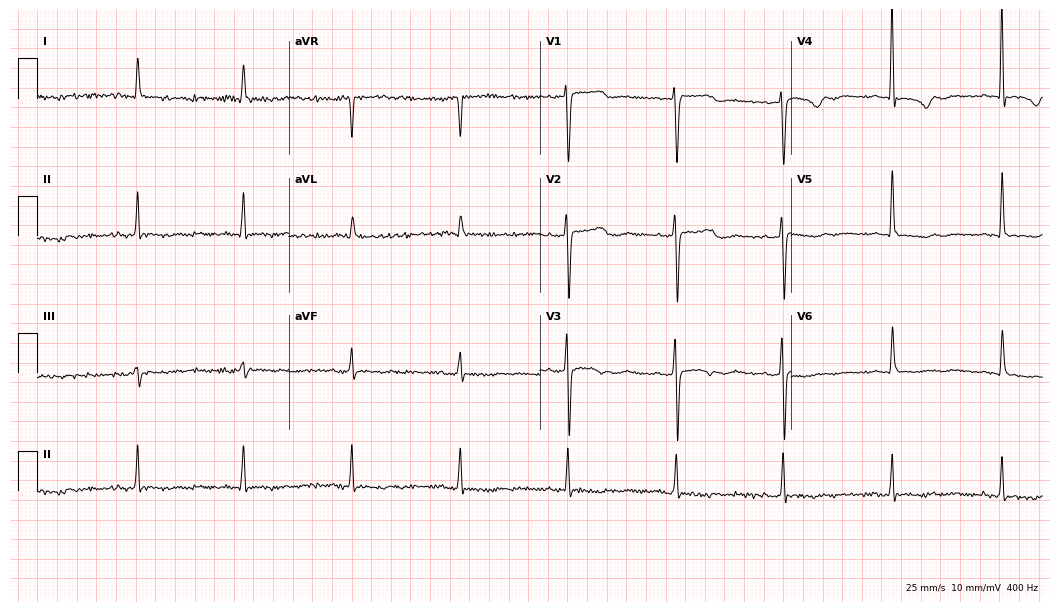
12-lead ECG from a 76-year-old female patient (10.2-second recording at 400 Hz). No first-degree AV block, right bundle branch block (RBBB), left bundle branch block (LBBB), sinus bradycardia, atrial fibrillation (AF) or sinus tachycardia recorded for this tracing.